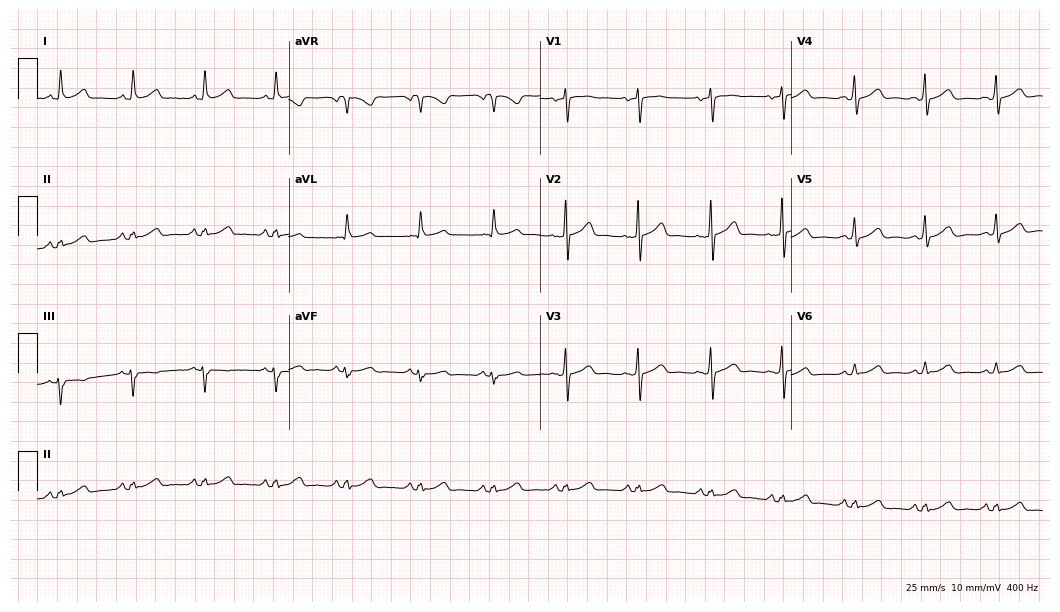
ECG — a female, 63 years old. Labelled as a normal ECG.